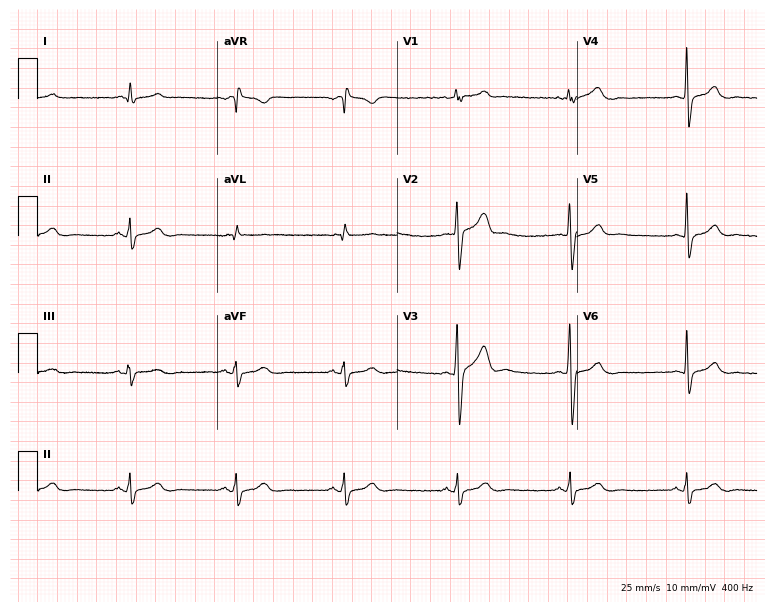
Electrocardiogram, a man, 43 years old. Overall reading on record: normal ECG.